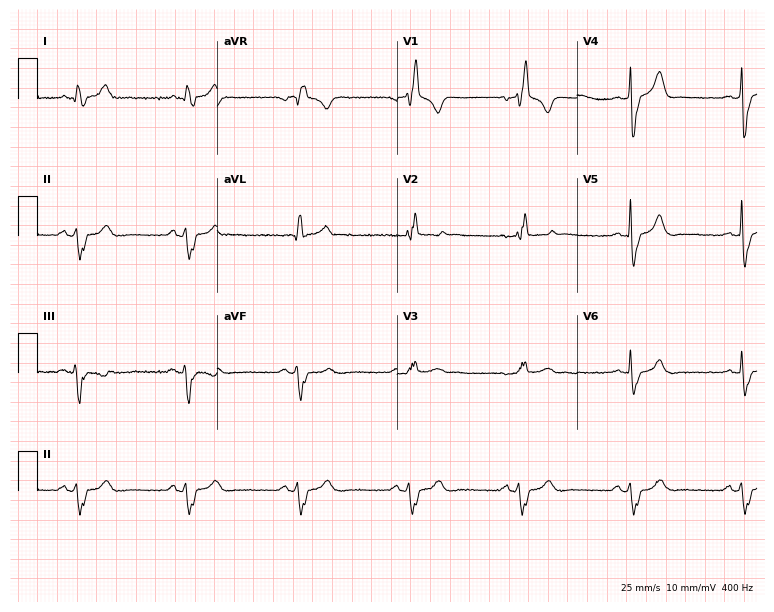
Electrocardiogram, a male, 46 years old. Interpretation includes right bundle branch block.